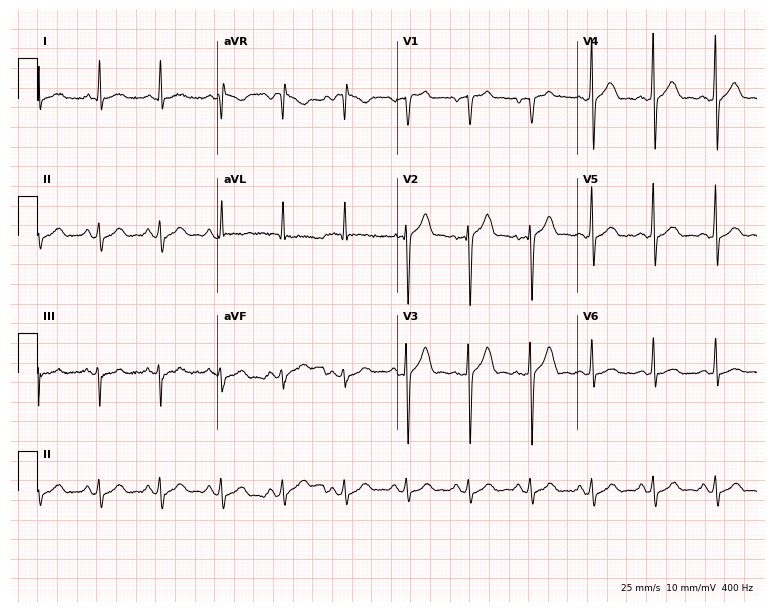
ECG — a 60-year-old man. Labelled as a normal ECG.